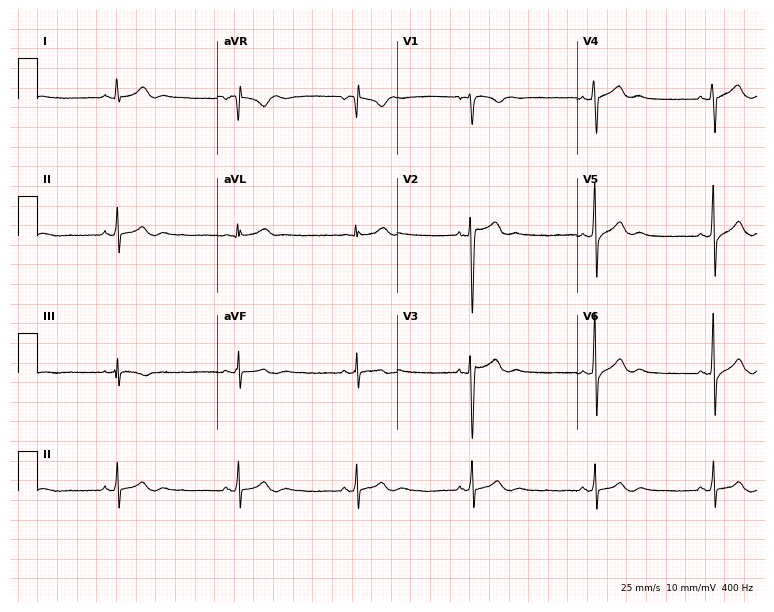
12-lead ECG from a 26-year-old male patient. Findings include sinus bradycardia (a sinus rate of 50 beats per minute or less).